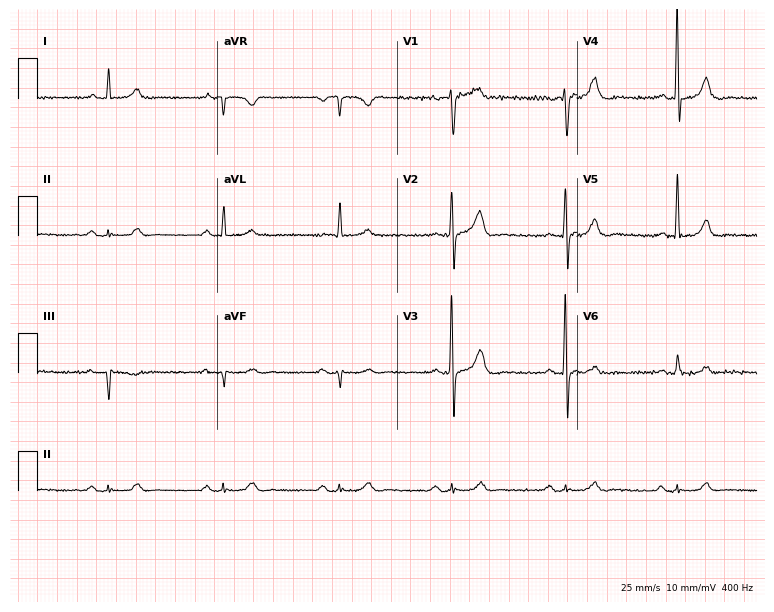
ECG — a 57-year-old man. Screened for six findings — first-degree AV block, right bundle branch block, left bundle branch block, sinus bradycardia, atrial fibrillation, sinus tachycardia — none is recorded. Findings outside these six are not listed.